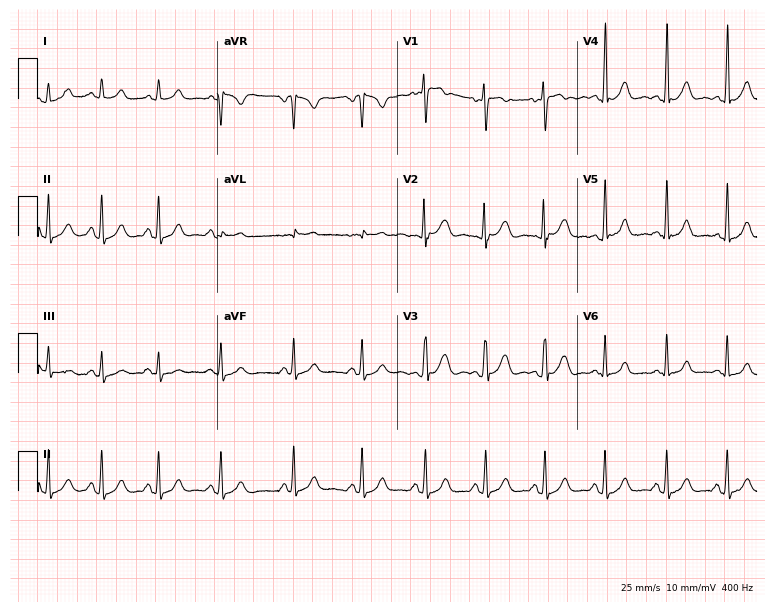
ECG — a female patient, 23 years old. Labelled as a normal ECG.